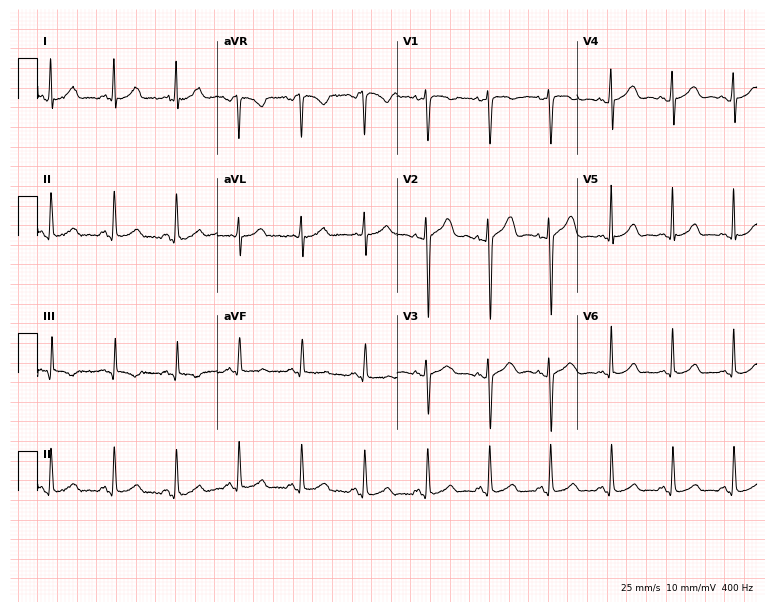
Resting 12-lead electrocardiogram. Patient: a woman, 33 years old. Read as a normal ECG.